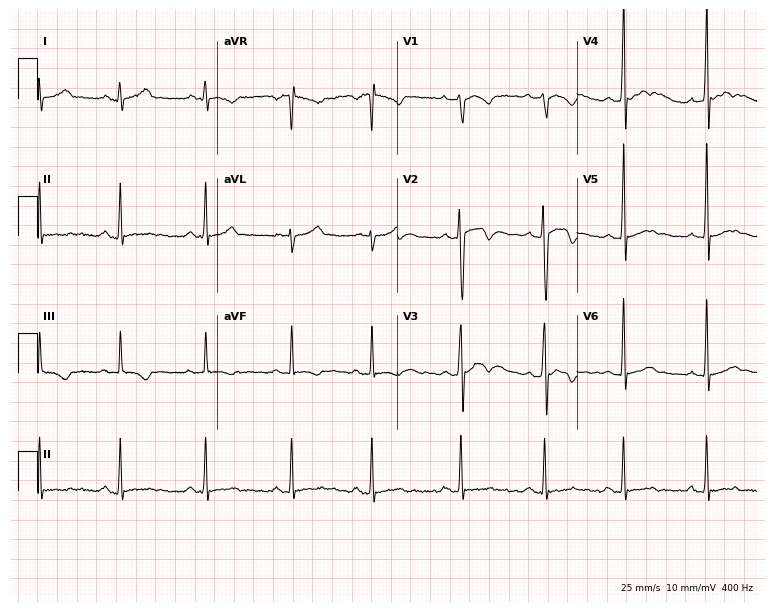
Resting 12-lead electrocardiogram (7.3-second recording at 400 Hz). Patient: a male, 18 years old. Read as a normal ECG.